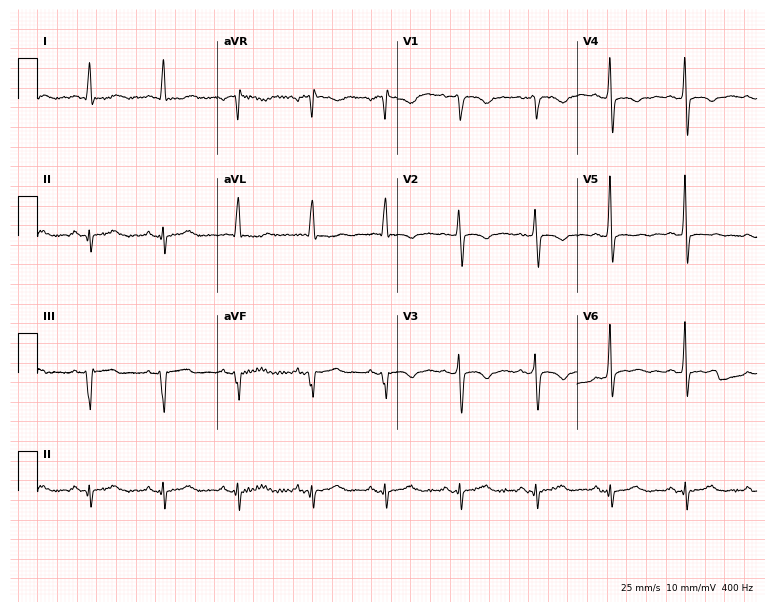
Resting 12-lead electrocardiogram (7.3-second recording at 400 Hz). Patient: a male, 76 years old. None of these six findings is recorded: first-degree AV block, right bundle branch block, left bundle branch block, sinus bradycardia, atrial fibrillation, sinus tachycardia. Findings outside these six are not listed.